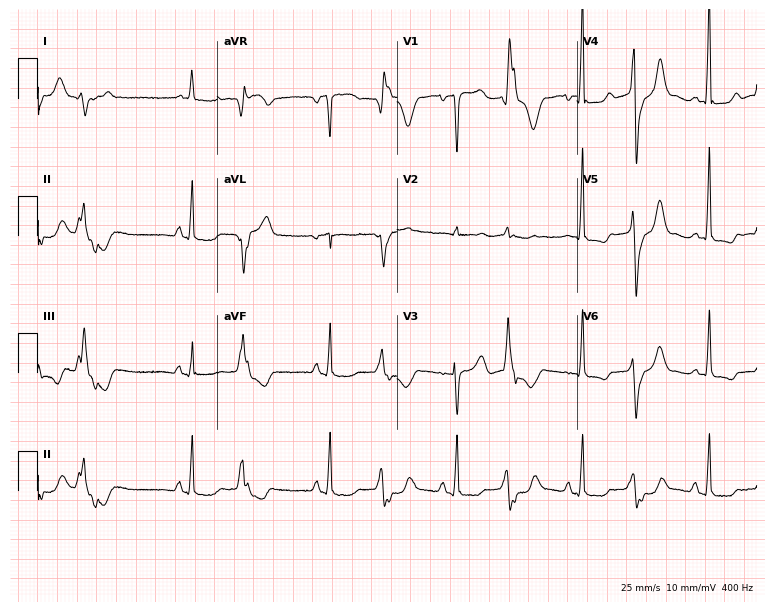
Resting 12-lead electrocardiogram (7.3-second recording at 400 Hz). Patient: a 59-year-old female. None of these six findings is recorded: first-degree AV block, right bundle branch block (RBBB), left bundle branch block (LBBB), sinus bradycardia, atrial fibrillation (AF), sinus tachycardia. Only these six findings were labelled.